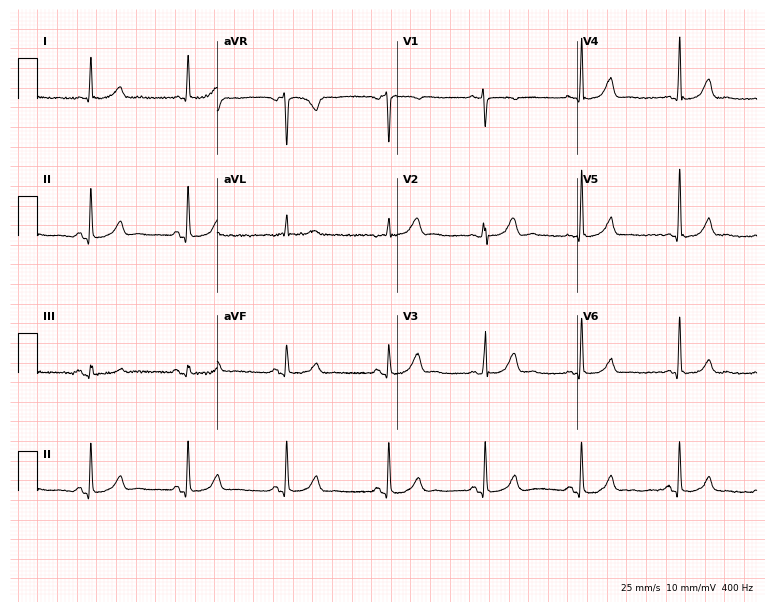
Electrocardiogram, a woman, 66 years old. Overall reading on record: normal ECG.